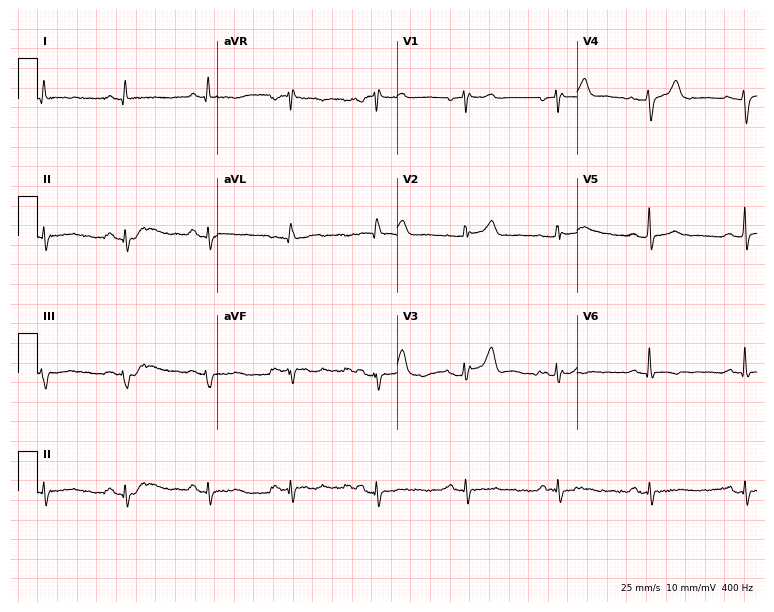
Standard 12-lead ECG recorded from a 60-year-old man (7.3-second recording at 400 Hz). None of these six findings is recorded: first-degree AV block, right bundle branch block, left bundle branch block, sinus bradycardia, atrial fibrillation, sinus tachycardia. Other findings, if any, are not listed.